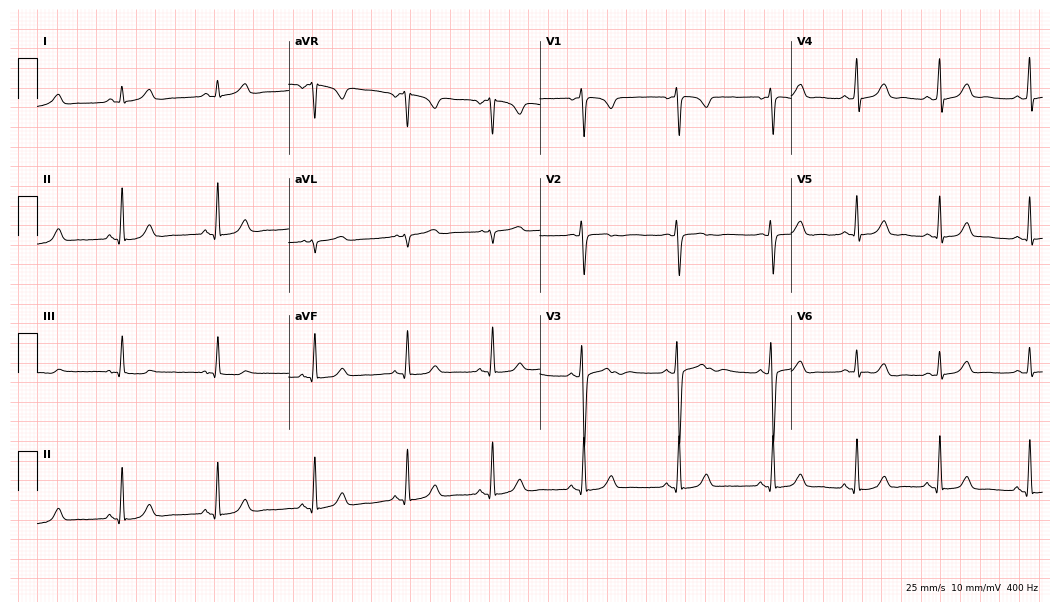
Resting 12-lead electrocardiogram. Patient: a female, 25 years old. Read as a normal ECG.